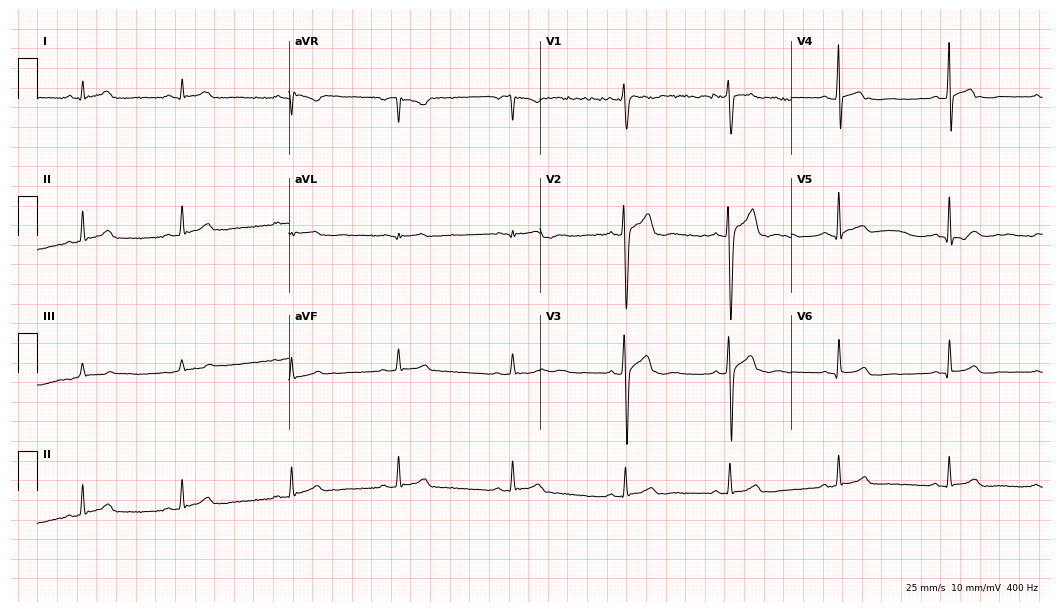
12-lead ECG from a 21-year-old man. Recorded interpretation: within normal limits.